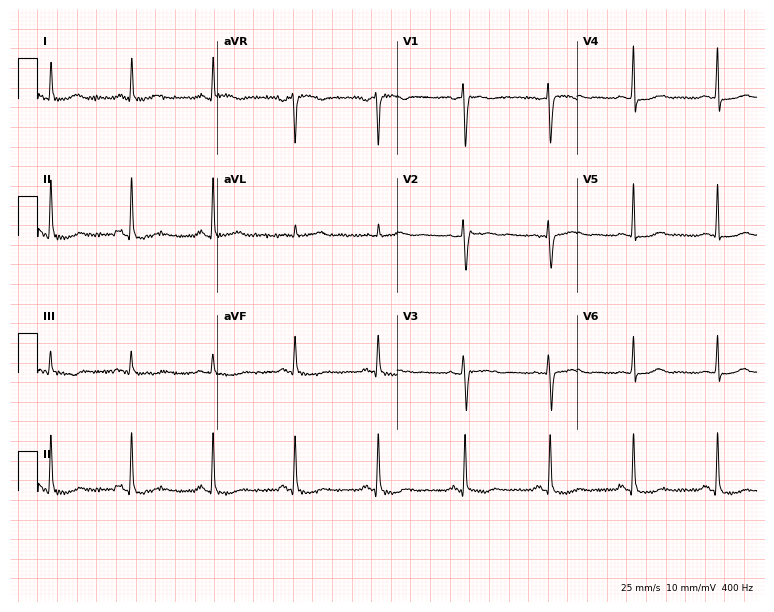
12-lead ECG from a woman, 50 years old (7.3-second recording at 400 Hz). No first-degree AV block, right bundle branch block, left bundle branch block, sinus bradycardia, atrial fibrillation or sinus tachycardia recorded for this tracing.